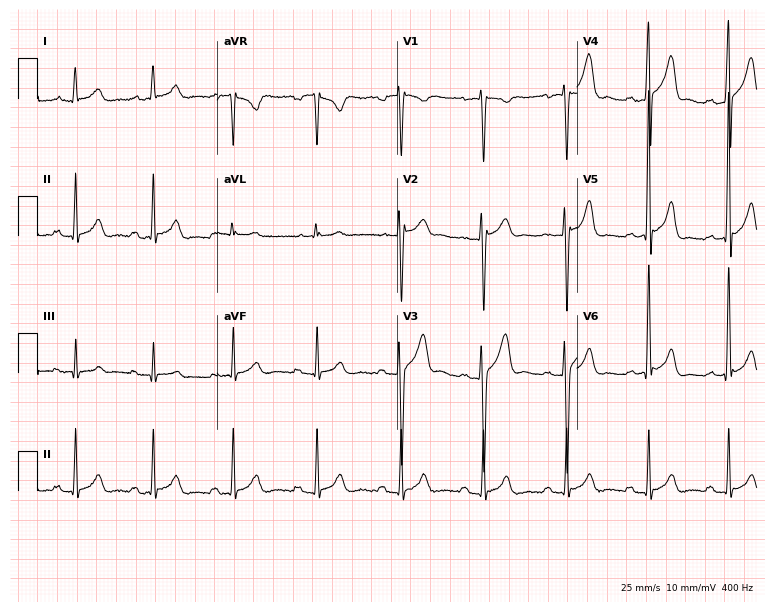
Electrocardiogram (7.3-second recording at 400 Hz), a 32-year-old male. Of the six screened findings (first-degree AV block, right bundle branch block (RBBB), left bundle branch block (LBBB), sinus bradycardia, atrial fibrillation (AF), sinus tachycardia), none is recorded. Only these six findings were labelled.